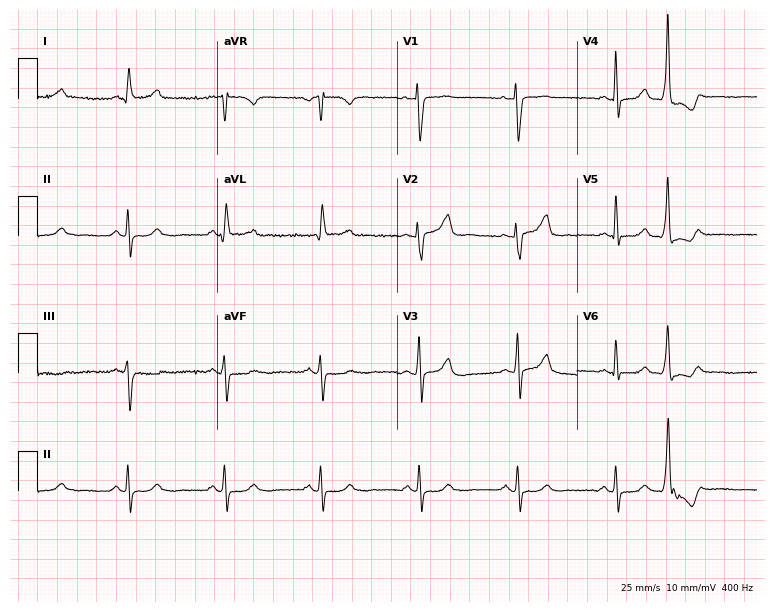
Standard 12-lead ECG recorded from a 68-year-old female (7.3-second recording at 400 Hz). None of these six findings is recorded: first-degree AV block, right bundle branch block, left bundle branch block, sinus bradycardia, atrial fibrillation, sinus tachycardia.